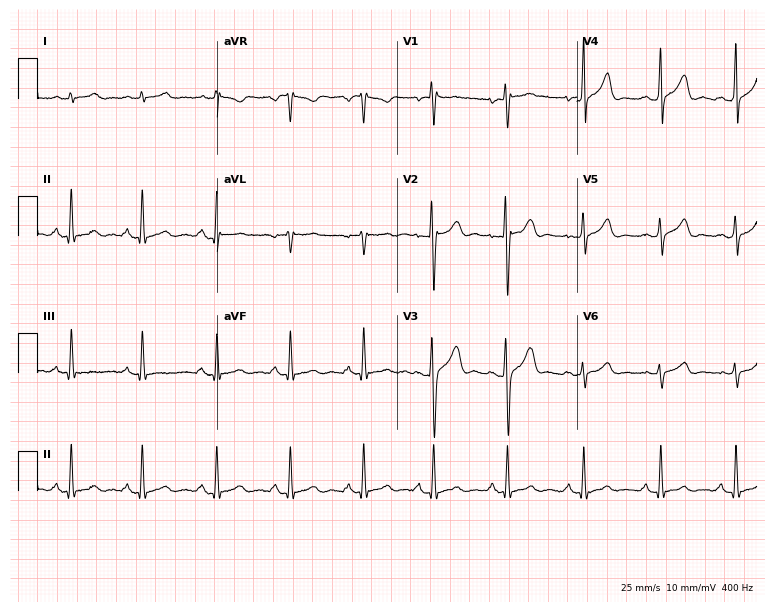
12-lead ECG from a man, 24 years old. Labelled as a normal ECG.